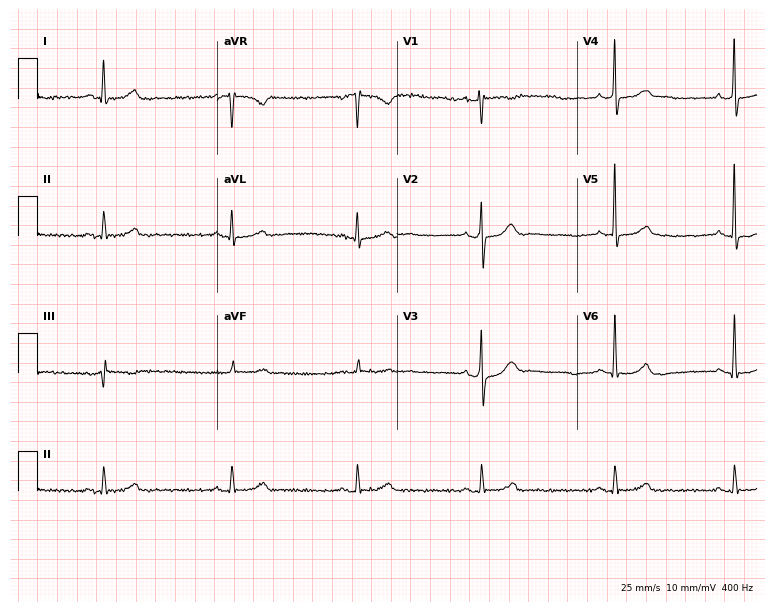
Electrocardiogram (7.3-second recording at 400 Hz), a 43-year-old male patient. Of the six screened findings (first-degree AV block, right bundle branch block, left bundle branch block, sinus bradycardia, atrial fibrillation, sinus tachycardia), none is recorded.